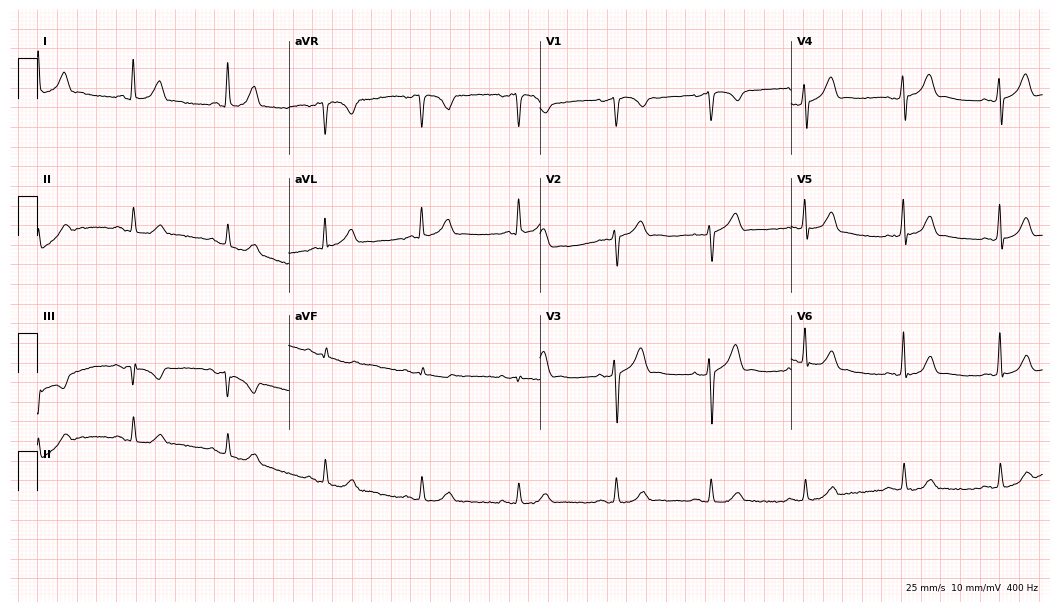
12-lead ECG (10.2-second recording at 400 Hz) from a 73-year-old male patient. Labelled as a normal ECG.